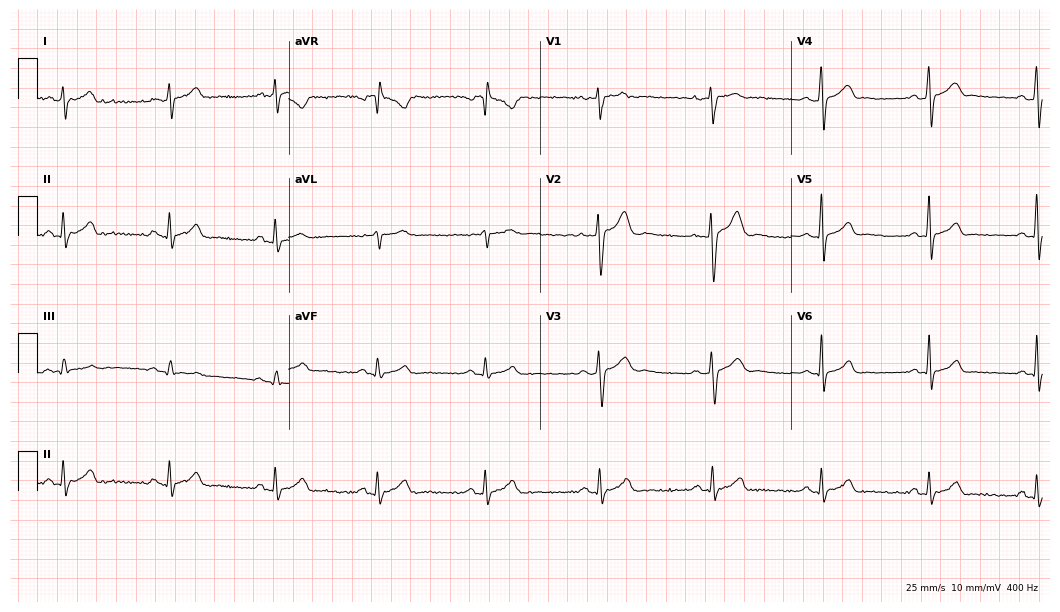
12-lead ECG from a 21-year-old male patient (10.2-second recording at 400 Hz). No first-degree AV block, right bundle branch block (RBBB), left bundle branch block (LBBB), sinus bradycardia, atrial fibrillation (AF) or sinus tachycardia recorded for this tracing.